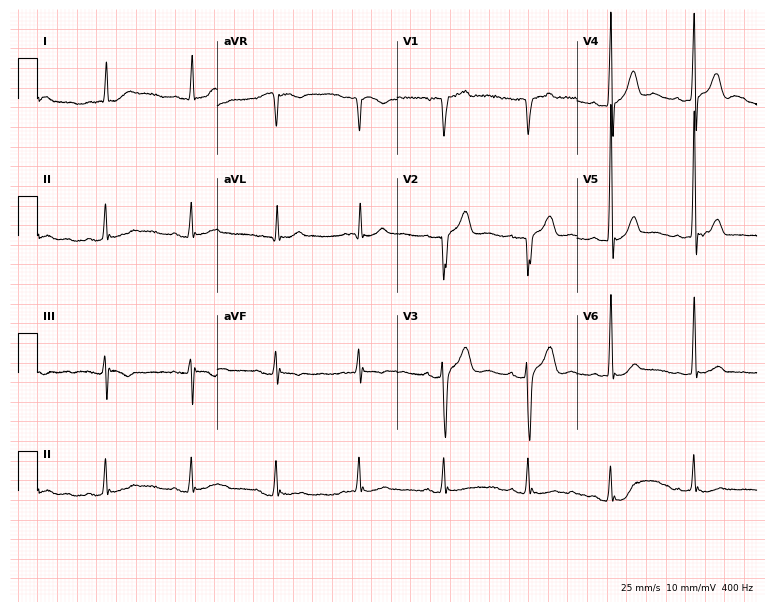
12-lead ECG from a 47-year-old man (7.3-second recording at 400 Hz). Recorded interpretation: within normal limits.